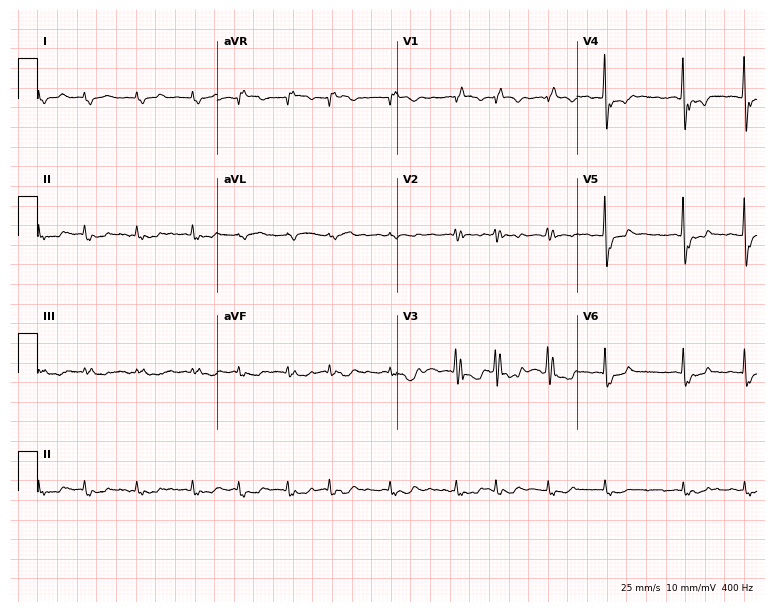
12-lead ECG from a female patient, 77 years old (7.3-second recording at 400 Hz). Shows right bundle branch block (RBBB), atrial fibrillation (AF).